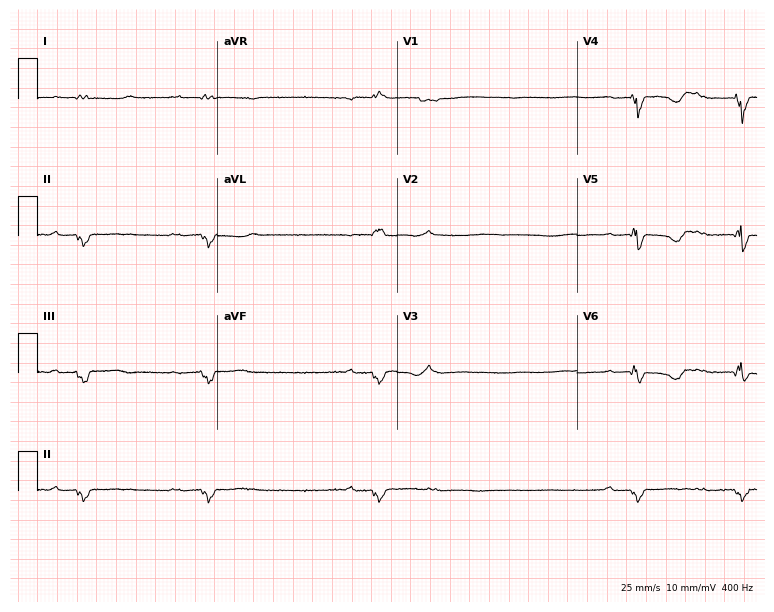
Electrocardiogram (7.3-second recording at 400 Hz), a 73-year-old man. Of the six screened findings (first-degree AV block, right bundle branch block, left bundle branch block, sinus bradycardia, atrial fibrillation, sinus tachycardia), none is recorded.